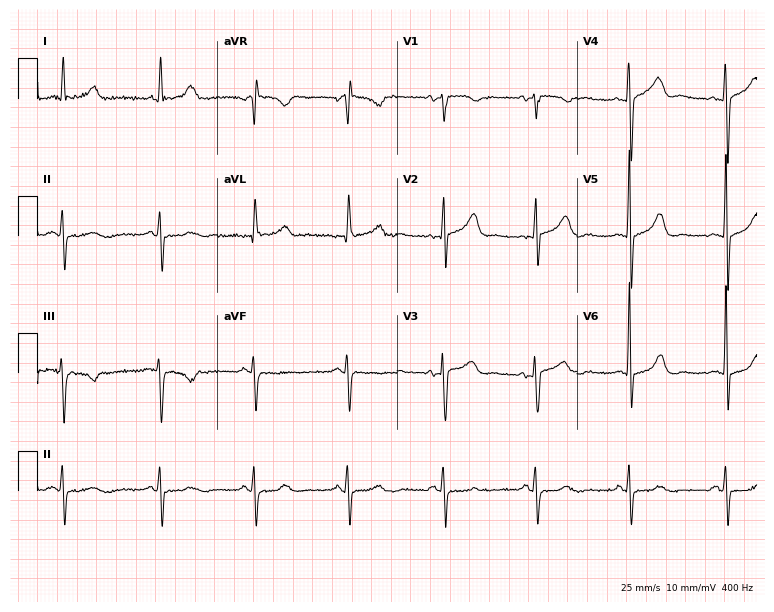
Resting 12-lead electrocardiogram. Patient: a 63-year-old female. Read as a normal ECG.